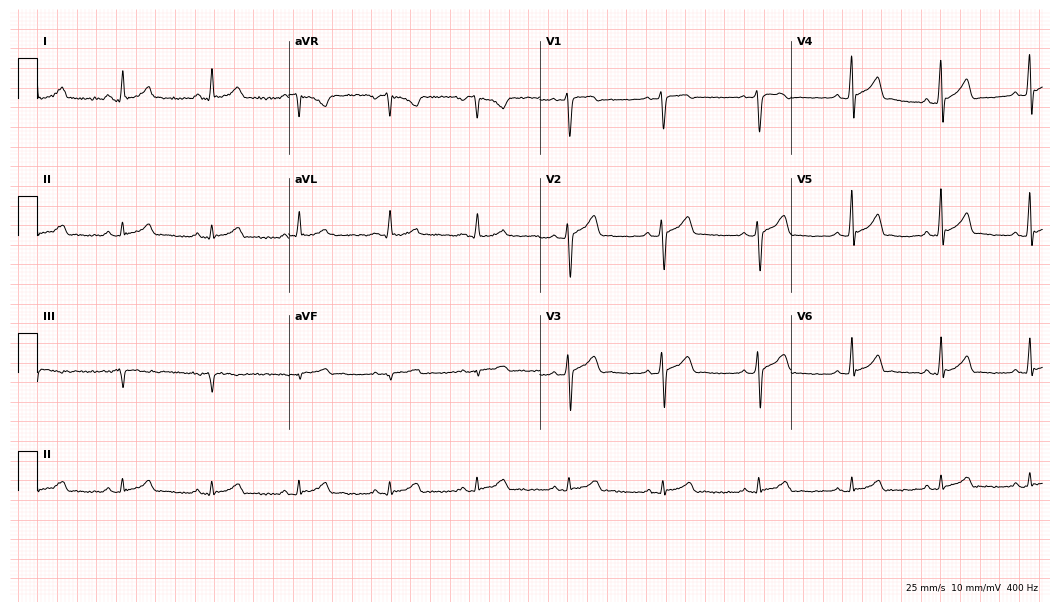
ECG — a 24-year-old man. Labelled as a normal ECG.